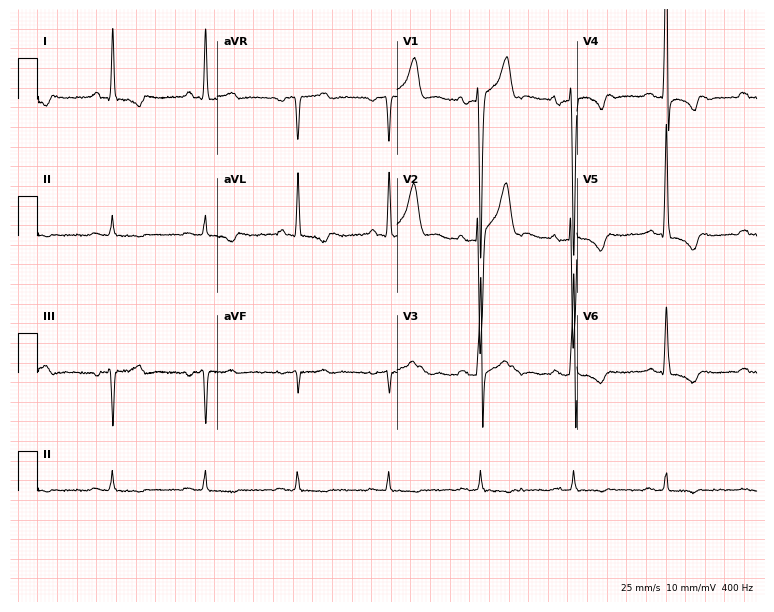
Electrocardiogram, a male patient, 63 years old. Of the six screened findings (first-degree AV block, right bundle branch block, left bundle branch block, sinus bradycardia, atrial fibrillation, sinus tachycardia), none is recorded.